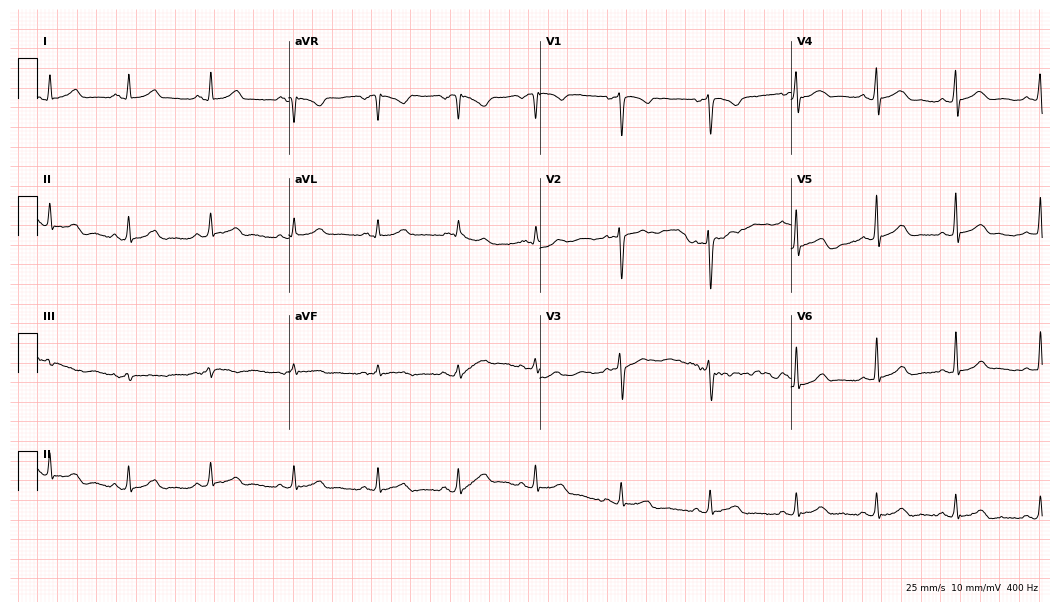
12-lead ECG (10.2-second recording at 400 Hz) from a female patient, 29 years old. Labelled as a normal ECG.